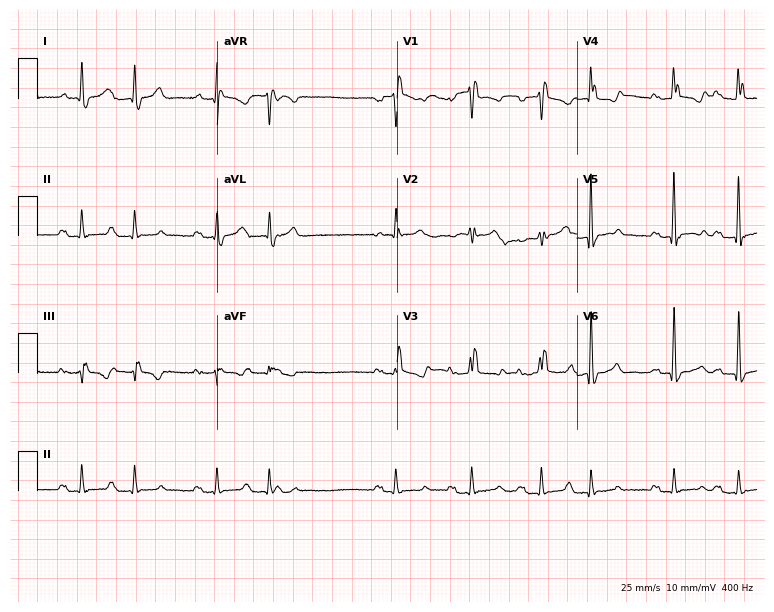
12-lead ECG from a woman, 79 years old (7.3-second recording at 400 Hz). No first-degree AV block, right bundle branch block (RBBB), left bundle branch block (LBBB), sinus bradycardia, atrial fibrillation (AF) or sinus tachycardia recorded for this tracing. Other findings, if any, are not listed.